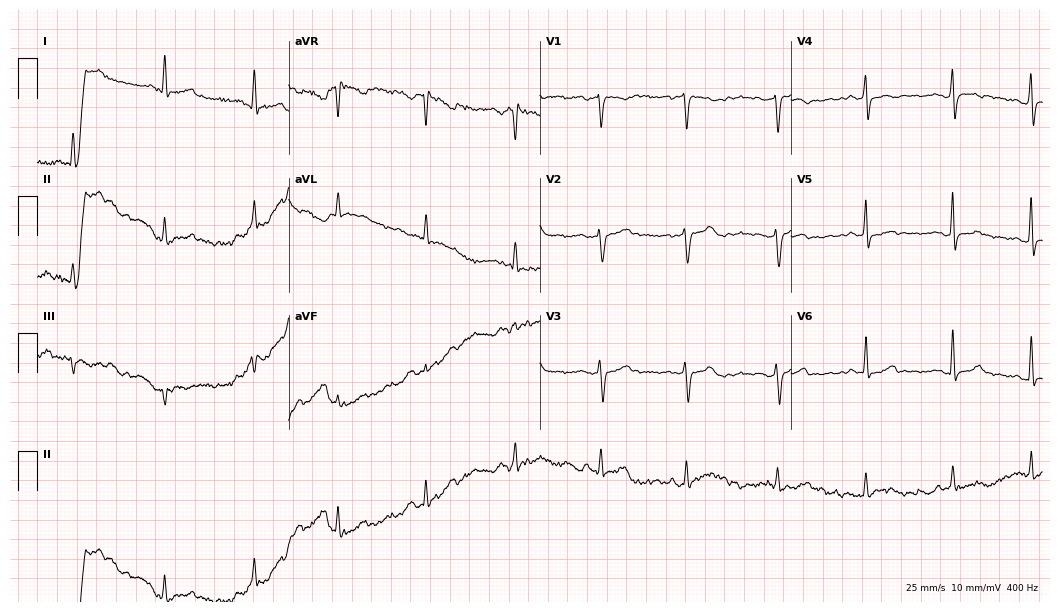
12-lead ECG from a woman, 47 years old. Screened for six findings — first-degree AV block, right bundle branch block, left bundle branch block, sinus bradycardia, atrial fibrillation, sinus tachycardia — none is recorded. Only these six findings were labelled.